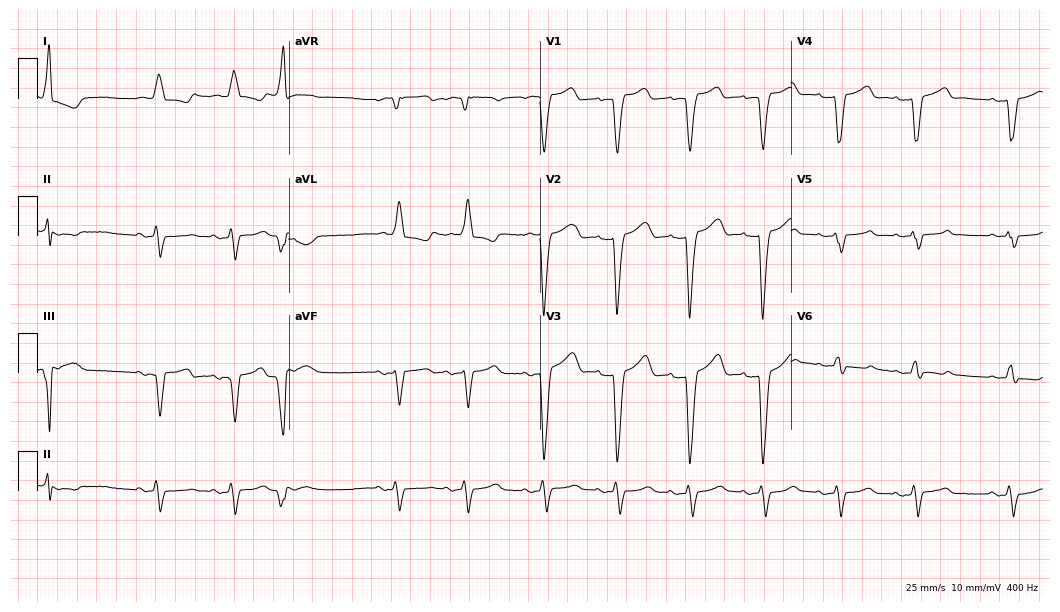
Standard 12-lead ECG recorded from an 84-year-old female (10.2-second recording at 400 Hz). The tracing shows left bundle branch block.